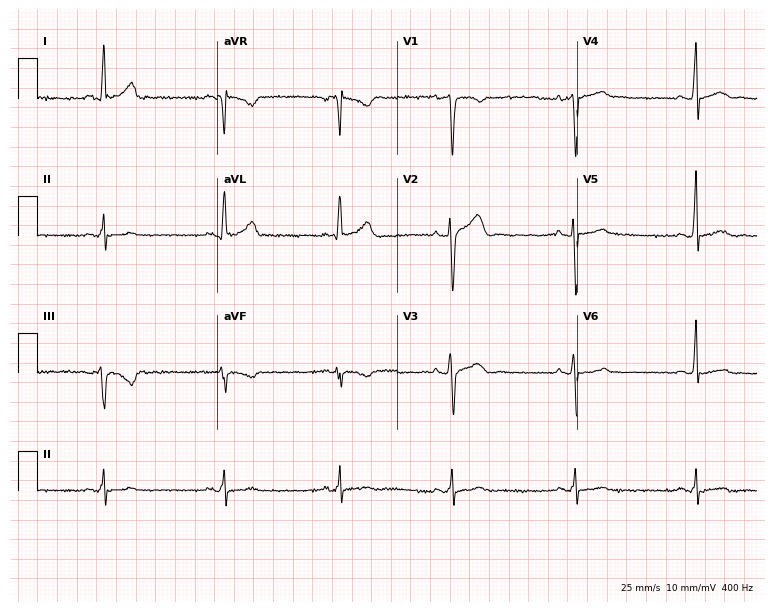
Electrocardiogram, a 48-year-old male patient. Overall reading on record: normal ECG.